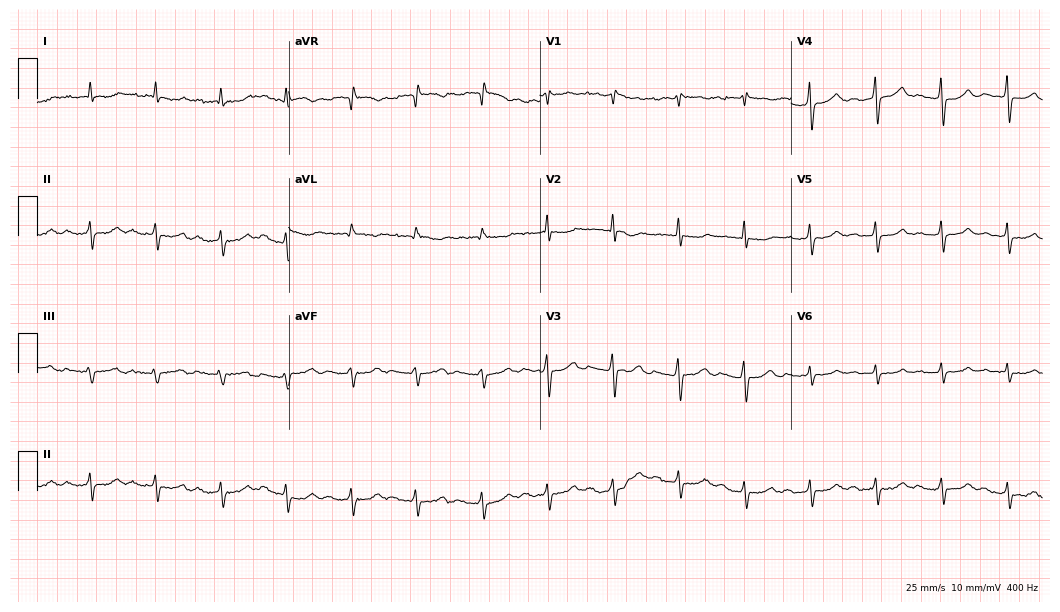
ECG — a male, 85 years old. Findings include first-degree AV block.